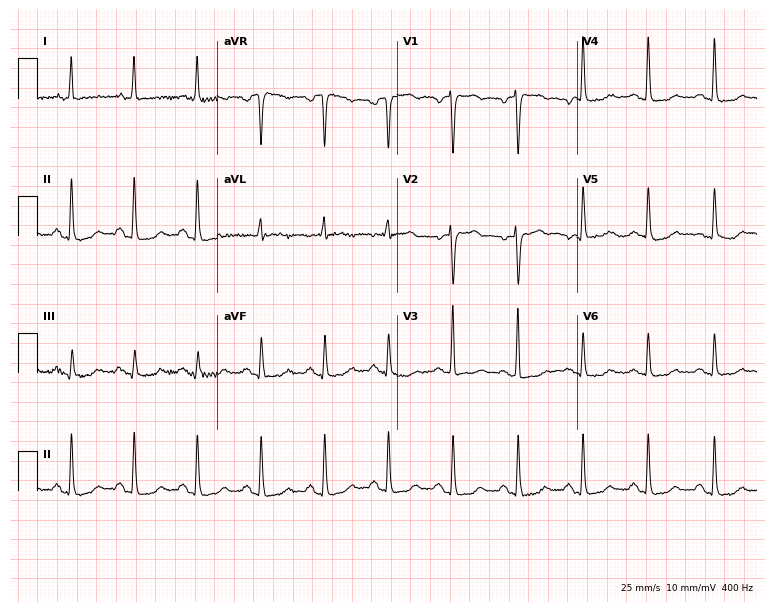
Resting 12-lead electrocardiogram (7.3-second recording at 400 Hz). Patient: a woman, 49 years old. None of these six findings is recorded: first-degree AV block, right bundle branch block, left bundle branch block, sinus bradycardia, atrial fibrillation, sinus tachycardia. Findings outside these six are not listed.